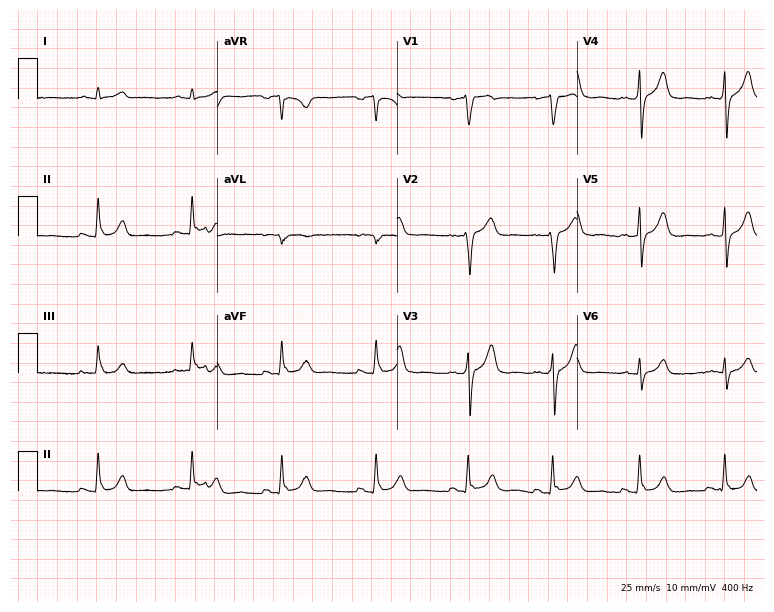
12-lead ECG from a 40-year-old man (7.3-second recording at 400 Hz). Recorded interpretation: within normal limits.